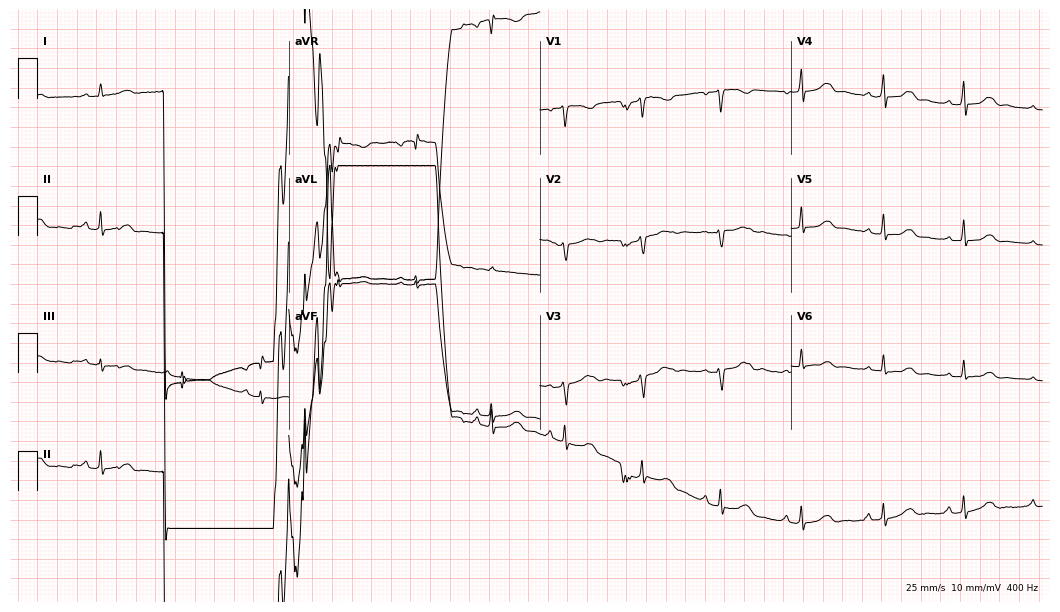
ECG (10.2-second recording at 400 Hz) — a 31-year-old female patient. Screened for six findings — first-degree AV block, right bundle branch block, left bundle branch block, sinus bradycardia, atrial fibrillation, sinus tachycardia — none is recorded. Only these six findings were labelled.